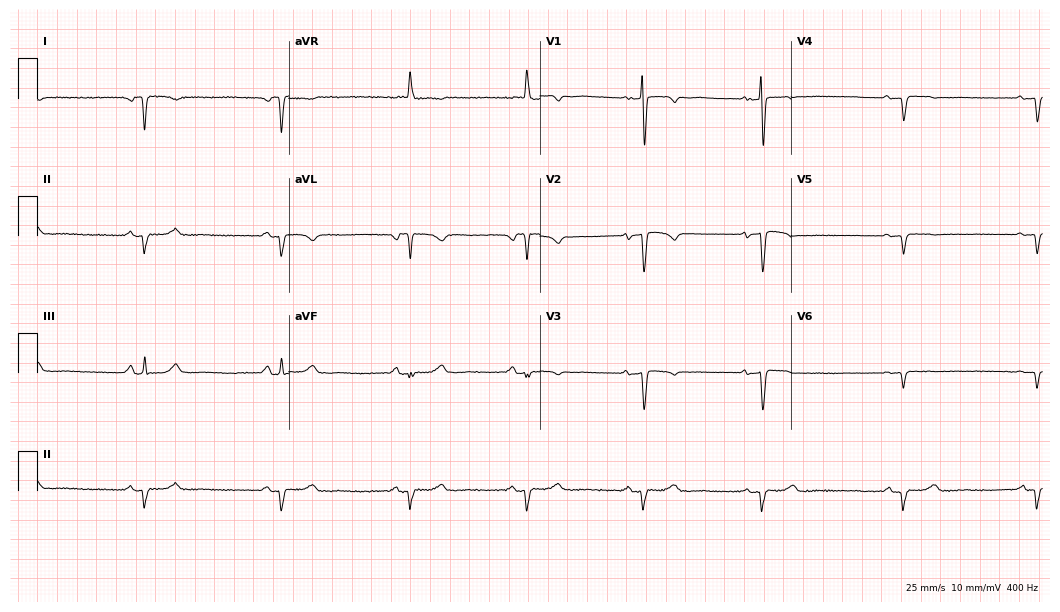
Resting 12-lead electrocardiogram (10.2-second recording at 400 Hz). Patient: a woman, 78 years old. None of these six findings is recorded: first-degree AV block, right bundle branch block, left bundle branch block, sinus bradycardia, atrial fibrillation, sinus tachycardia. Only these six findings were labelled.